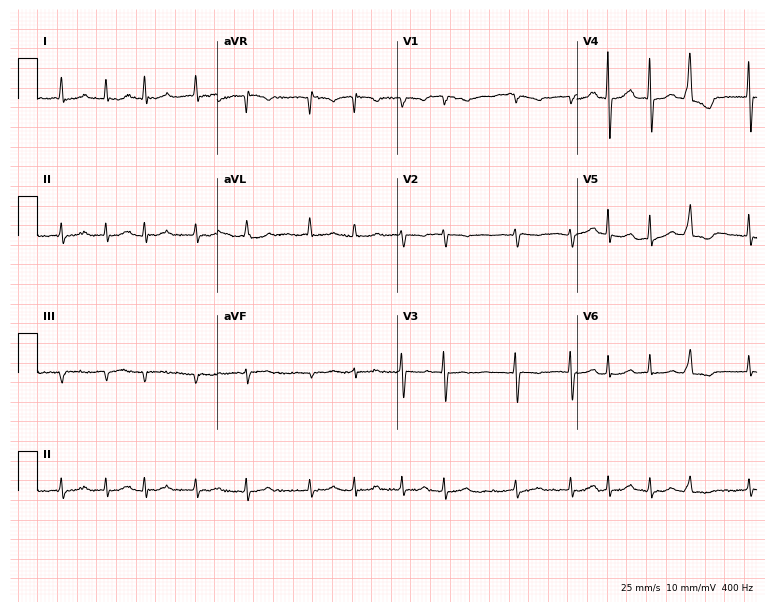
Electrocardiogram, an 83-year-old female. Interpretation includes atrial fibrillation.